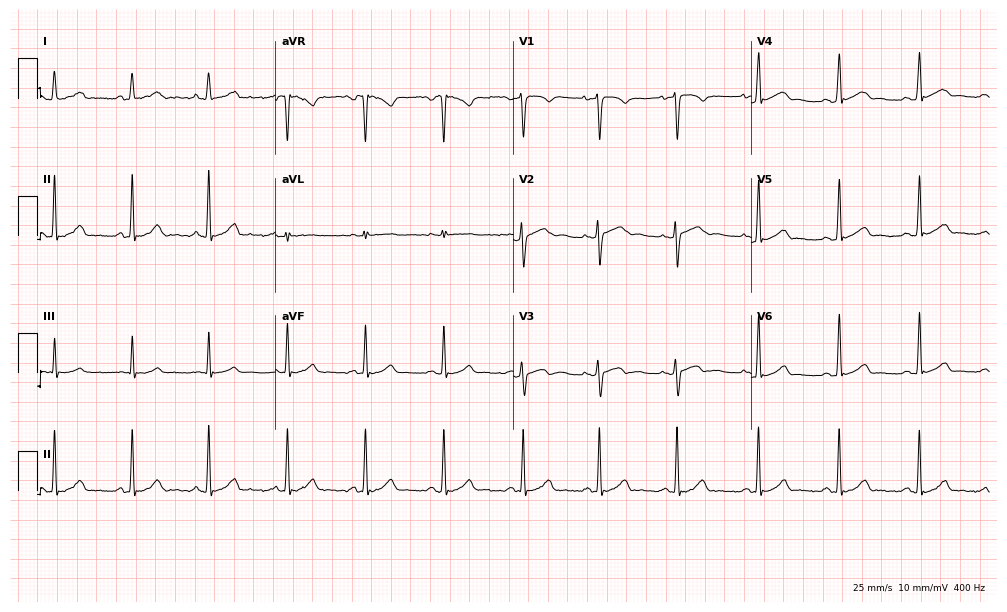
Standard 12-lead ECG recorded from a female patient, 33 years old (9.7-second recording at 400 Hz). Read as a normal ECG.